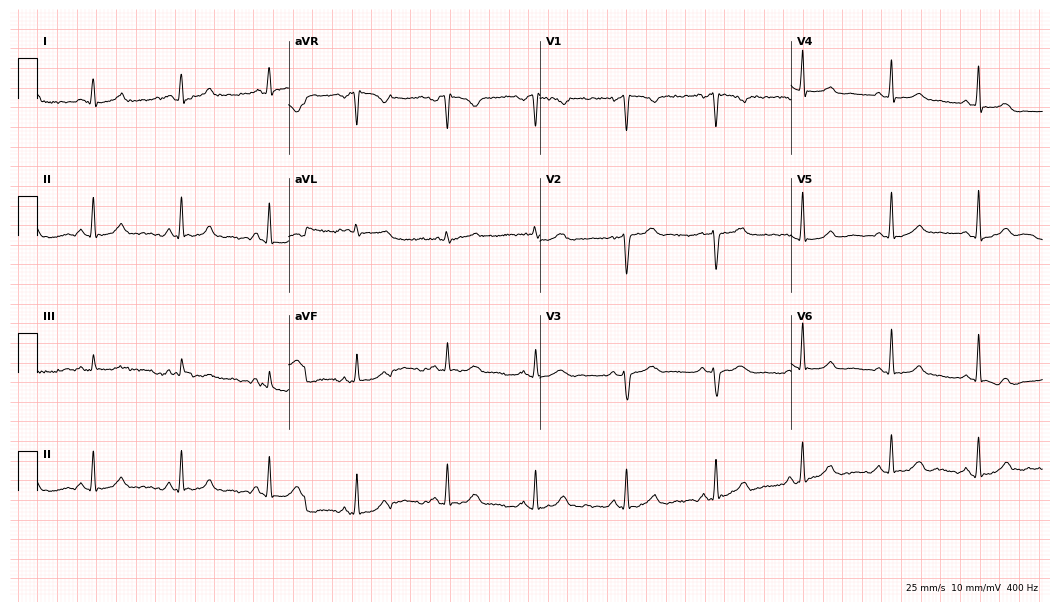
Resting 12-lead electrocardiogram. Patient: a 38-year-old woman. Read as a normal ECG.